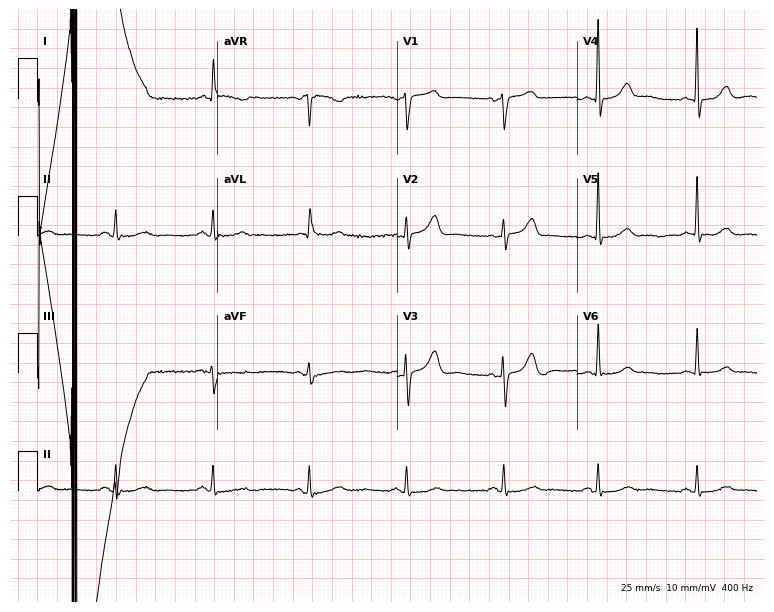
12-lead ECG from an 82-year-old female. Recorded interpretation: within normal limits.